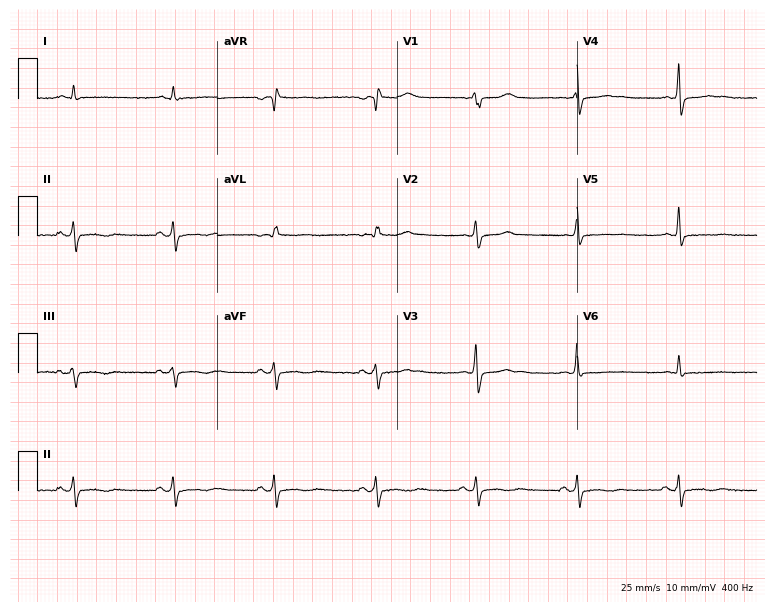
Electrocardiogram (7.3-second recording at 400 Hz), a 73-year-old male. Of the six screened findings (first-degree AV block, right bundle branch block (RBBB), left bundle branch block (LBBB), sinus bradycardia, atrial fibrillation (AF), sinus tachycardia), none is recorded.